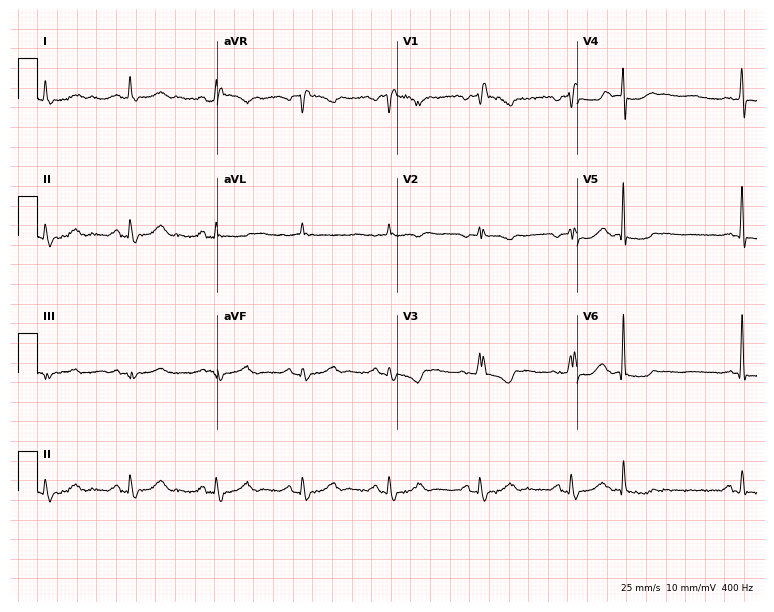
Standard 12-lead ECG recorded from an 82-year-old female patient (7.3-second recording at 400 Hz). The tracing shows atrial fibrillation (AF).